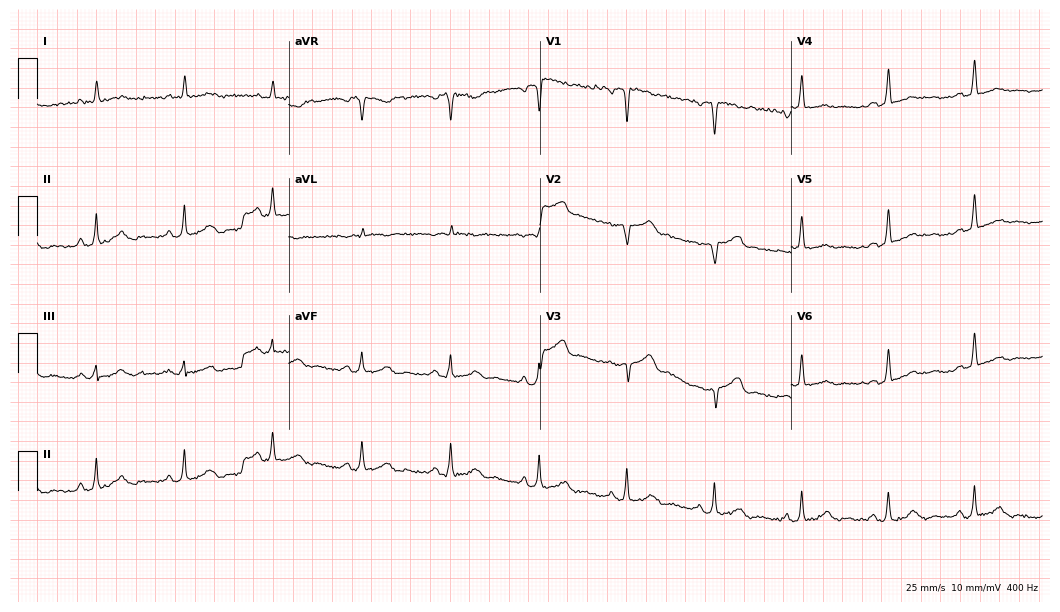
12-lead ECG (10.2-second recording at 400 Hz) from a 62-year-old male patient. Screened for six findings — first-degree AV block, right bundle branch block, left bundle branch block, sinus bradycardia, atrial fibrillation, sinus tachycardia — none is recorded.